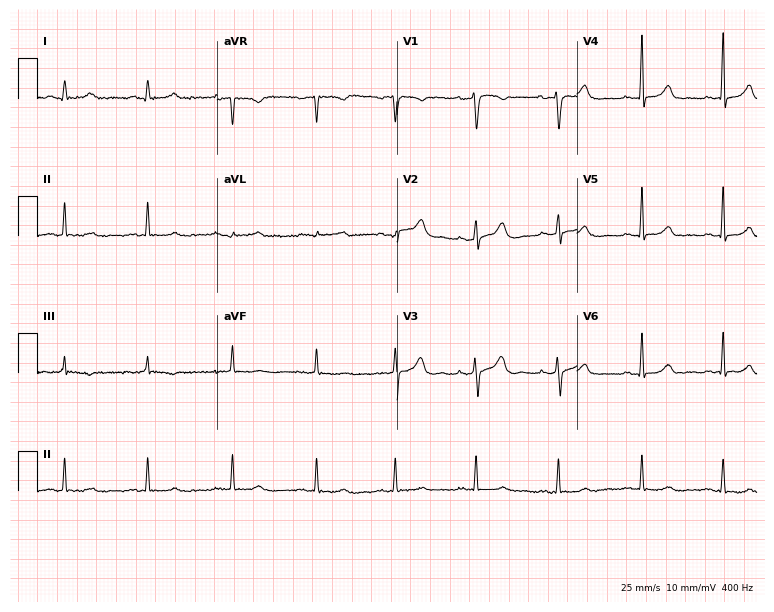
Electrocardiogram, a female patient, 34 years old. Of the six screened findings (first-degree AV block, right bundle branch block (RBBB), left bundle branch block (LBBB), sinus bradycardia, atrial fibrillation (AF), sinus tachycardia), none is recorded.